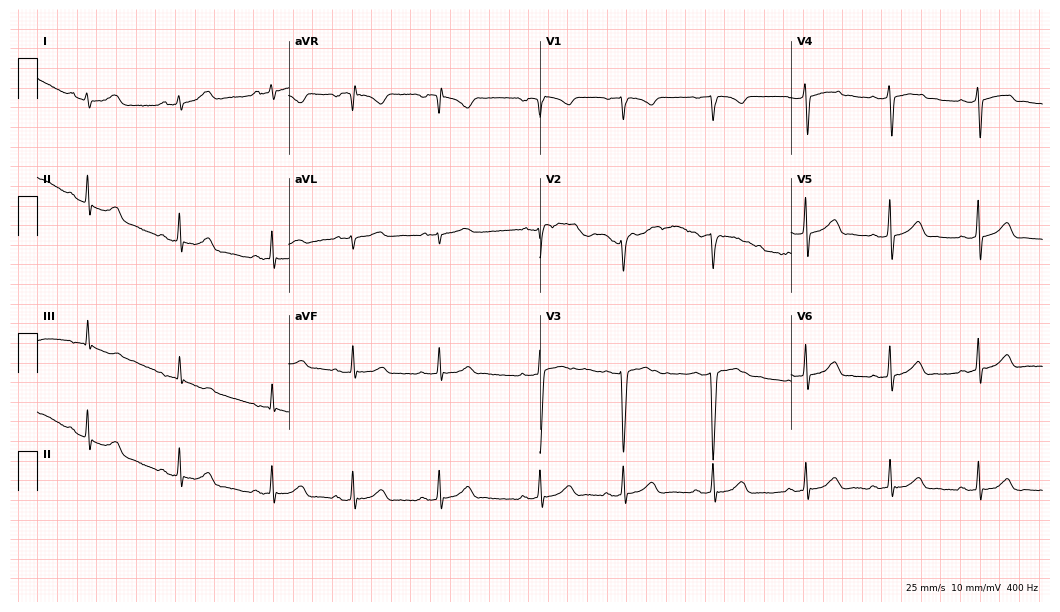
Resting 12-lead electrocardiogram (10.2-second recording at 400 Hz). Patient: a female, 27 years old. None of these six findings is recorded: first-degree AV block, right bundle branch block, left bundle branch block, sinus bradycardia, atrial fibrillation, sinus tachycardia. Only these six findings were labelled.